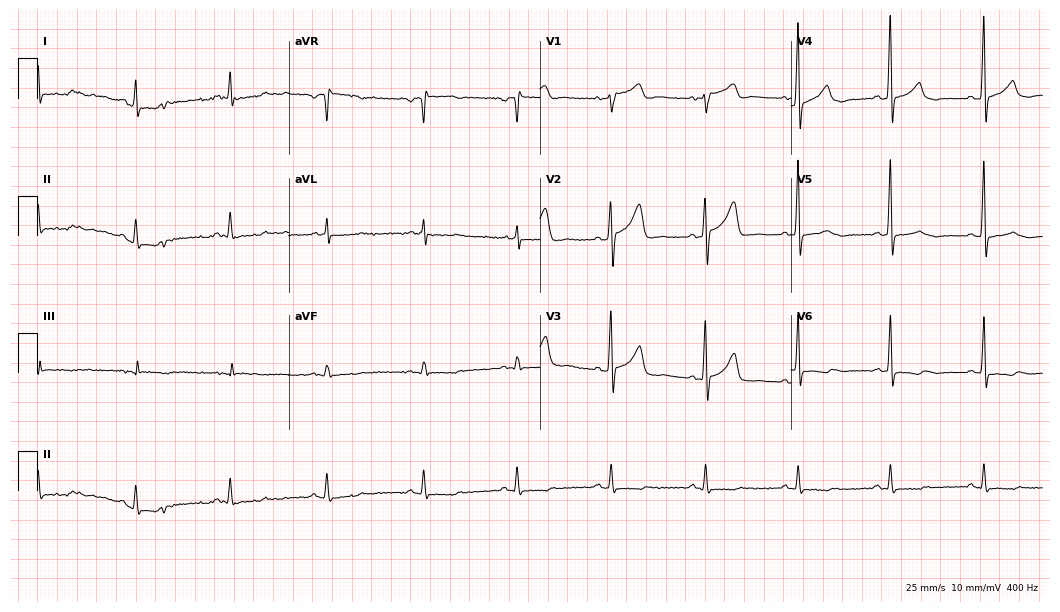
ECG (10.2-second recording at 400 Hz) — a 71-year-old man. Screened for six findings — first-degree AV block, right bundle branch block (RBBB), left bundle branch block (LBBB), sinus bradycardia, atrial fibrillation (AF), sinus tachycardia — none is recorded.